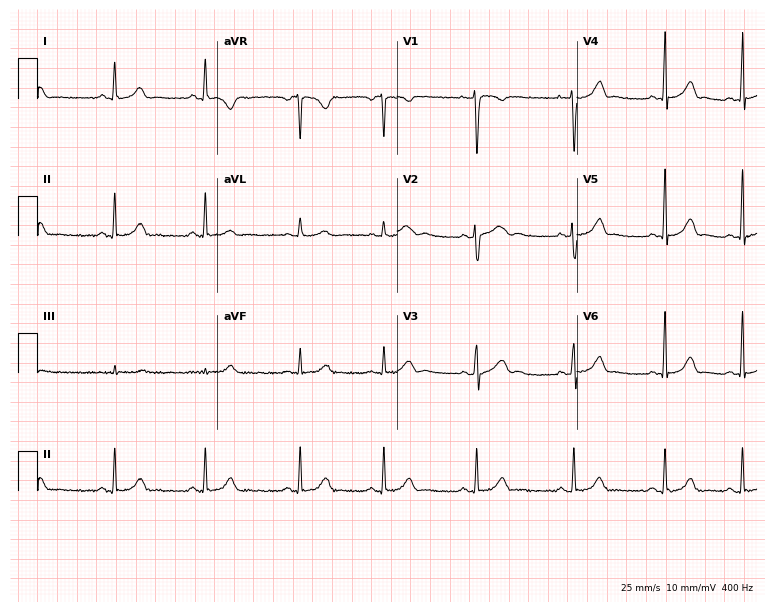
Electrocardiogram (7.3-second recording at 400 Hz), a woman, 21 years old. Of the six screened findings (first-degree AV block, right bundle branch block (RBBB), left bundle branch block (LBBB), sinus bradycardia, atrial fibrillation (AF), sinus tachycardia), none is recorded. Findings outside these six are not listed.